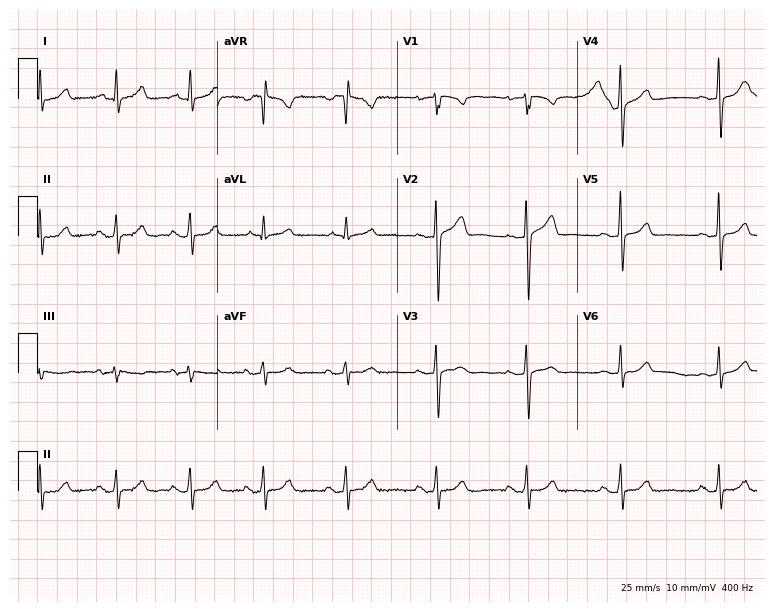
12-lead ECG from a 44-year-old woman. Screened for six findings — first-degree AV block, right bundle branch block, left bundle branch block, sinus bradycardia, atrial fibrillation, sinus tachycardia — none is recorded.